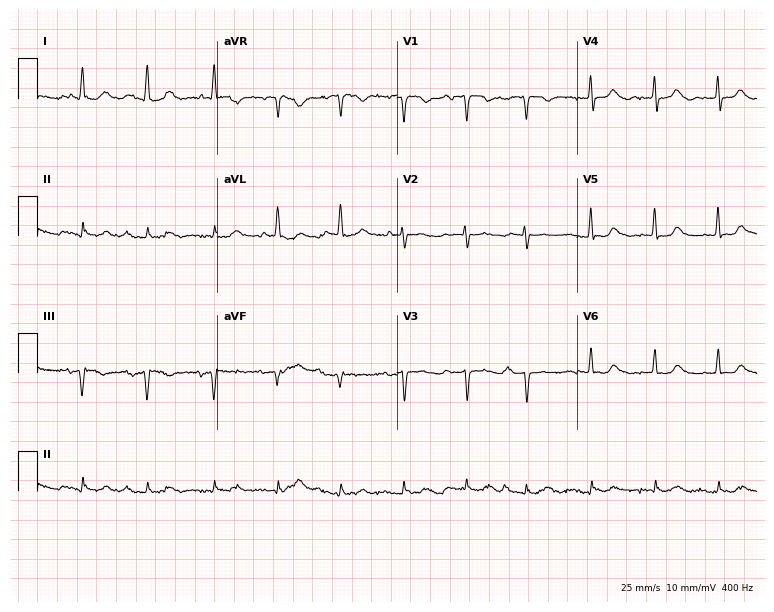
12-lead ECG from a female patient, 81 years old. Labelled as a normal ECG.